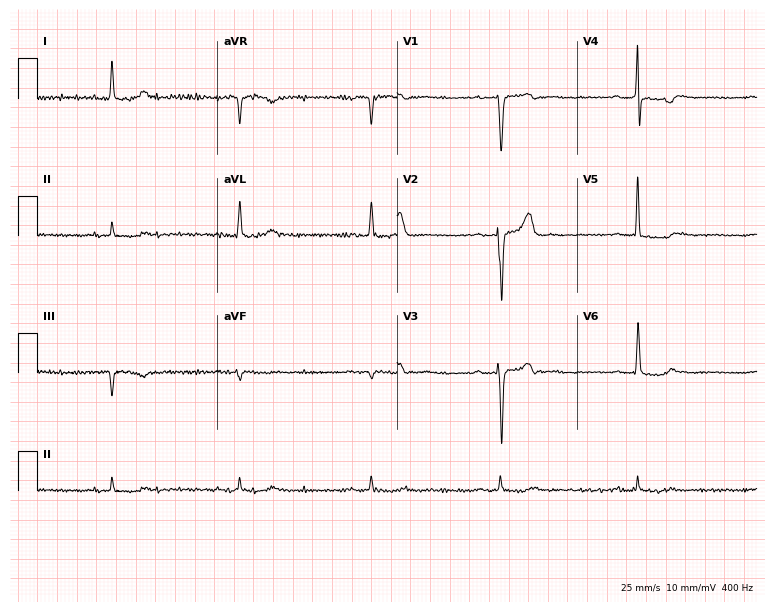
12-lead ECG from a male patient, 67 years old (7.3-second recording at 400 Hz). No first-degree AV block, right bundle branch block, left bundle branch block, sinus bradycardia, atrial fibrillation or sinus tachycardia recorded for this tracing.